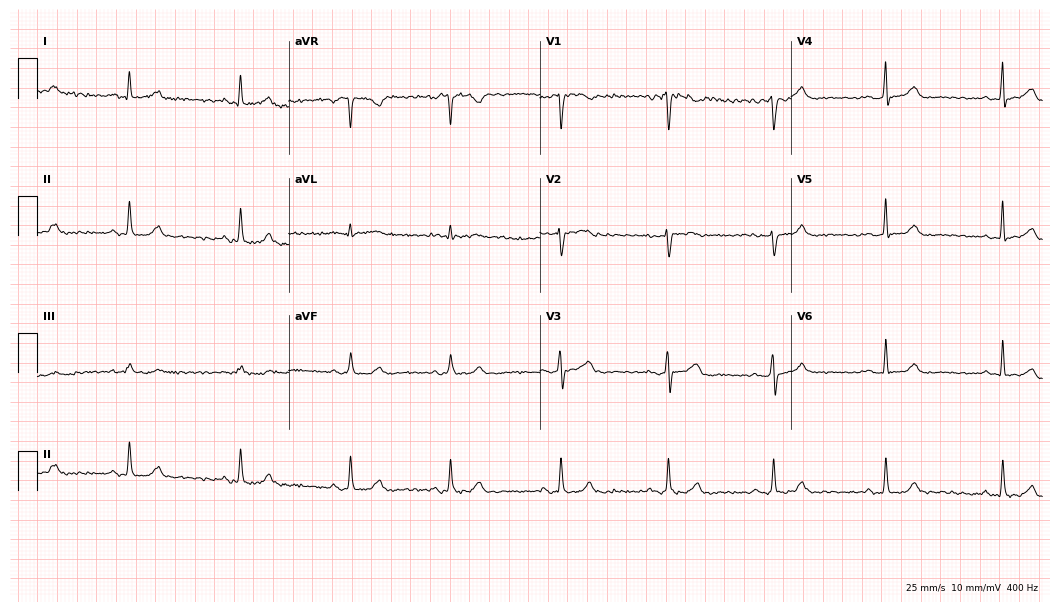
Resting 12-lead electrocardiogram. Patient: a female, 39 years old. Read as a normal ECG.